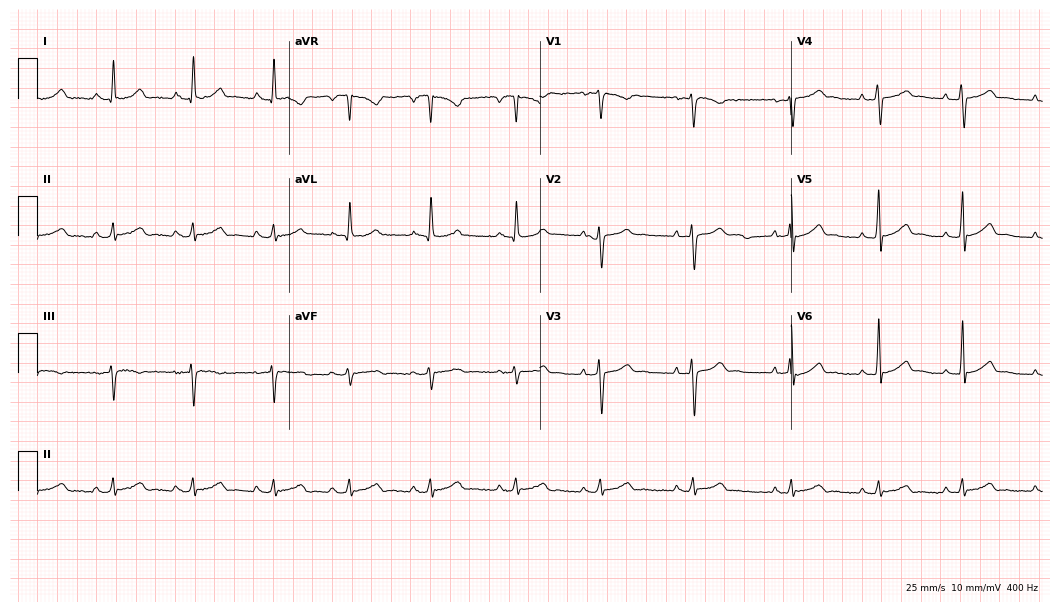
Standard 12-lead ECG recorded from a 37-year-old female patient (10.2-second recording at 400 Hz). None of these six findings is recorded: first-degree AV block, right bundle branch block, left bundle branch block, sinus bradycardia, atrial fibrillation, sinus tachycardia. Findings outside these six are not listed.